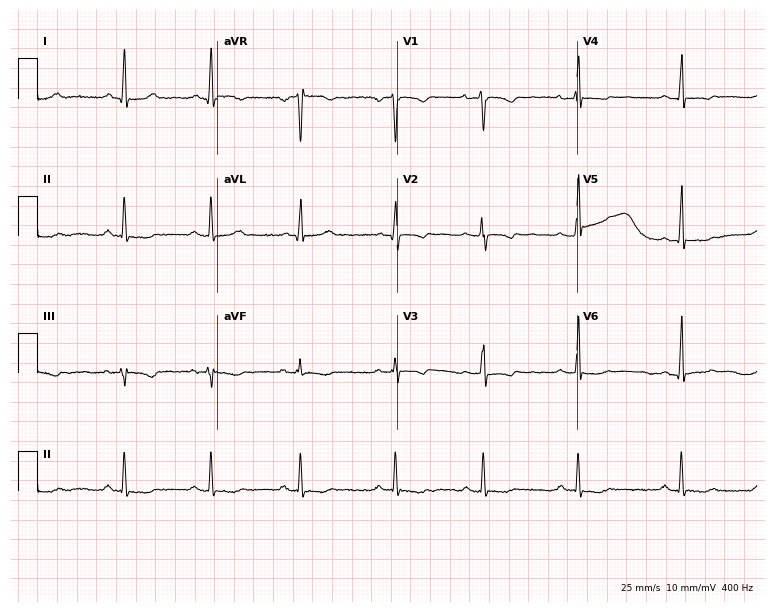
12-lead ECG from a female, 23 years old (7.3-second recording at 400 Hz). No first-degree AV block, right bundle branch block, left bundle branch block, sinus bradycardia, atrial fibrillation or sinus tachycardia recorded for this tracing. Only these six findings were labelled.